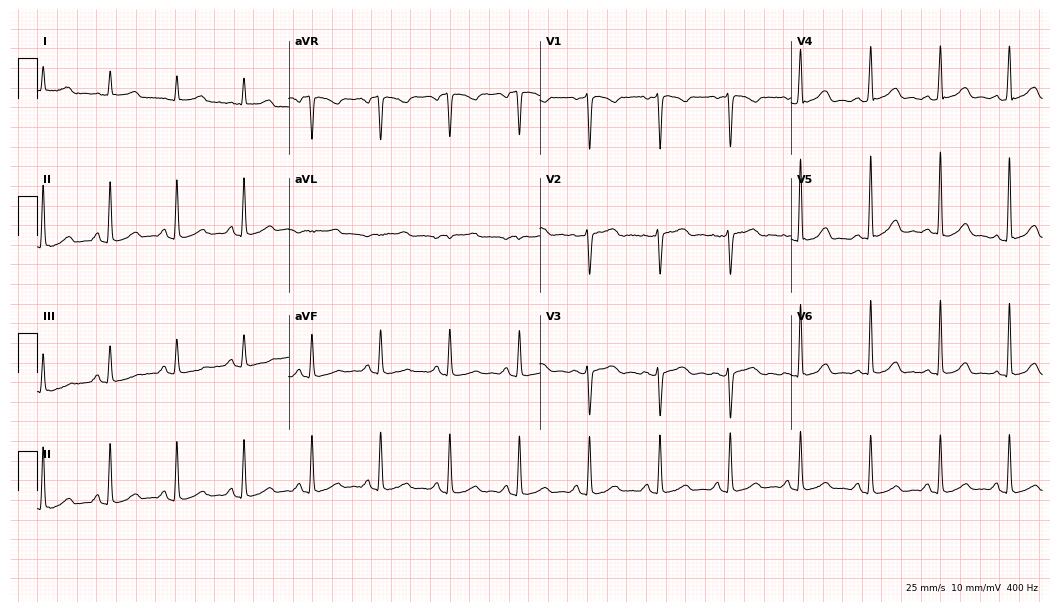
12-lead ECG from a 53-year-old female (10.2-second recording at 400 Hz). Recorded interpretation: within normal limits.